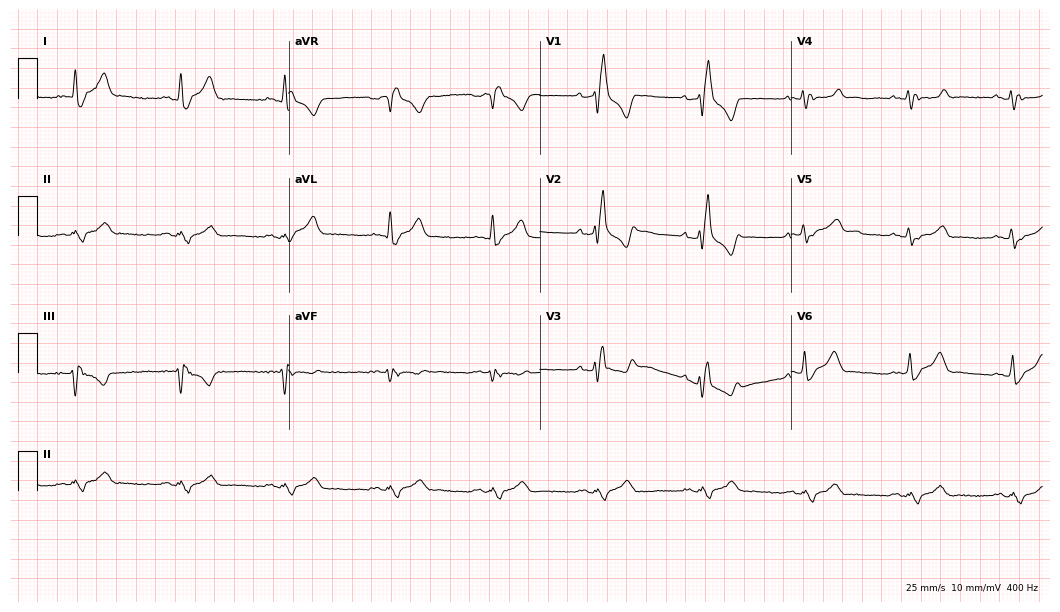
12-lead ECG from a male, 57 years old. Screened for six findings — first-degree AV block, right bundle branch block, left bundle branch block, sinus bradycardia, atrial fibrillation, sinus tachycardia — none is recorded. Other findings, if any, are not listed.